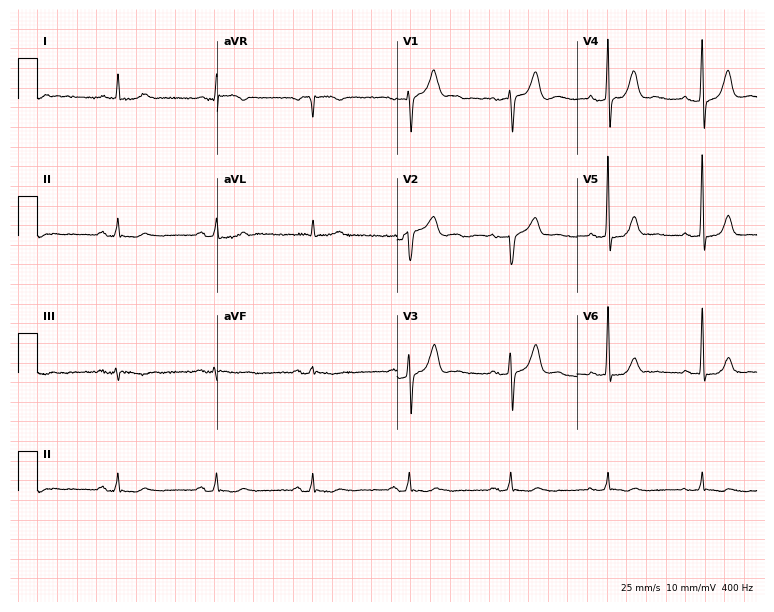
12-lead ECG (7.3-second recording at 400 Hz) from a male patient, 81 years old. Screened for six findings — first-degree AV block, right bundle branch block, left bundle branch block, sinus bradycardia, atrial fibrillation, sinus tachycardia — none is recorded. Only these six findings were labelled.